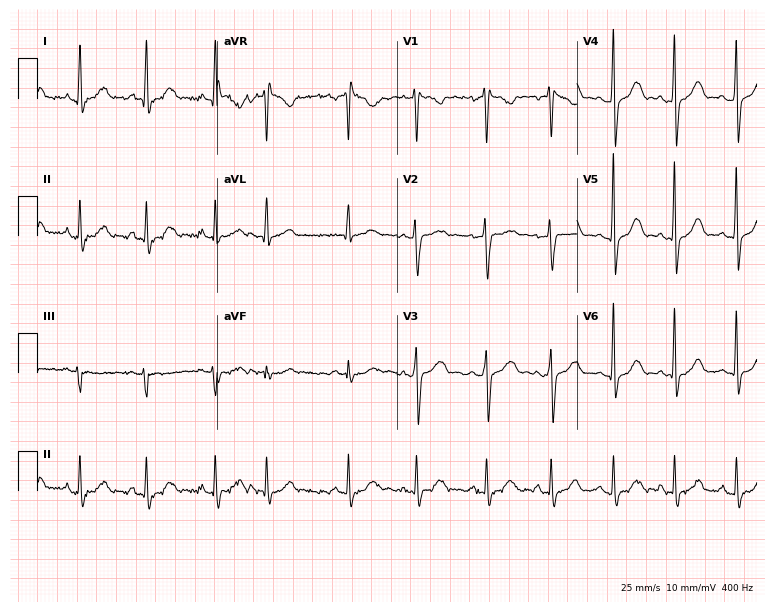
Resting 12-lead electrocardiogram (7.3-second recording at 400 Hz). Patient: a female, 31 years old. Read as a normal ECG.